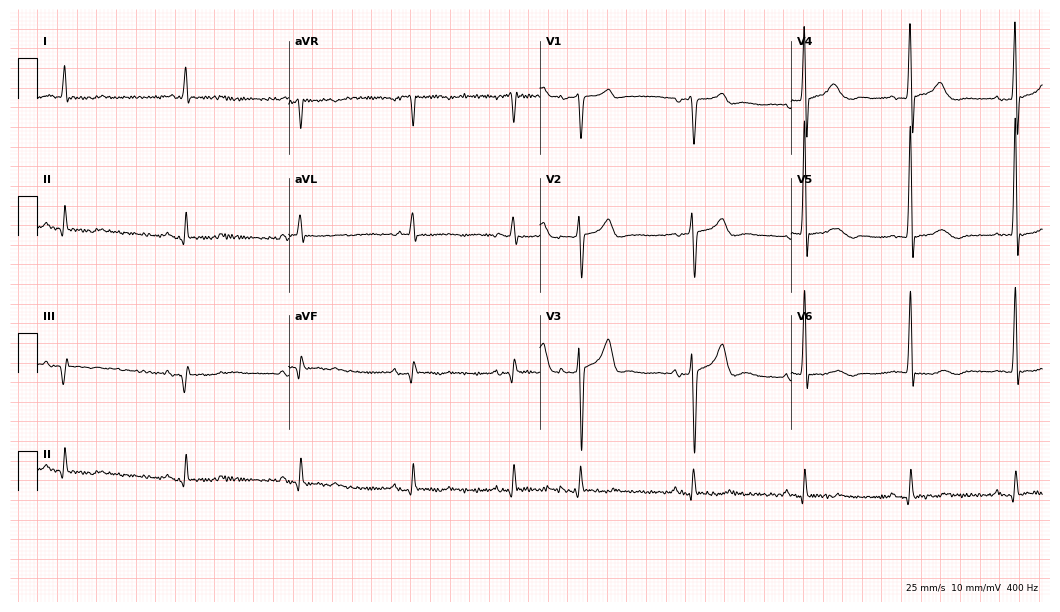
12-lead ECG (10.2-second recording at 400 Hz) from a 69-year-old man. Screened for six findings — first-degree AV block, right bundle branch block, left bundle branch block, sinus bradycardia, atrial fibrillation, sinus tachycardia — none is recorded. Other findings, if any, are not listed.